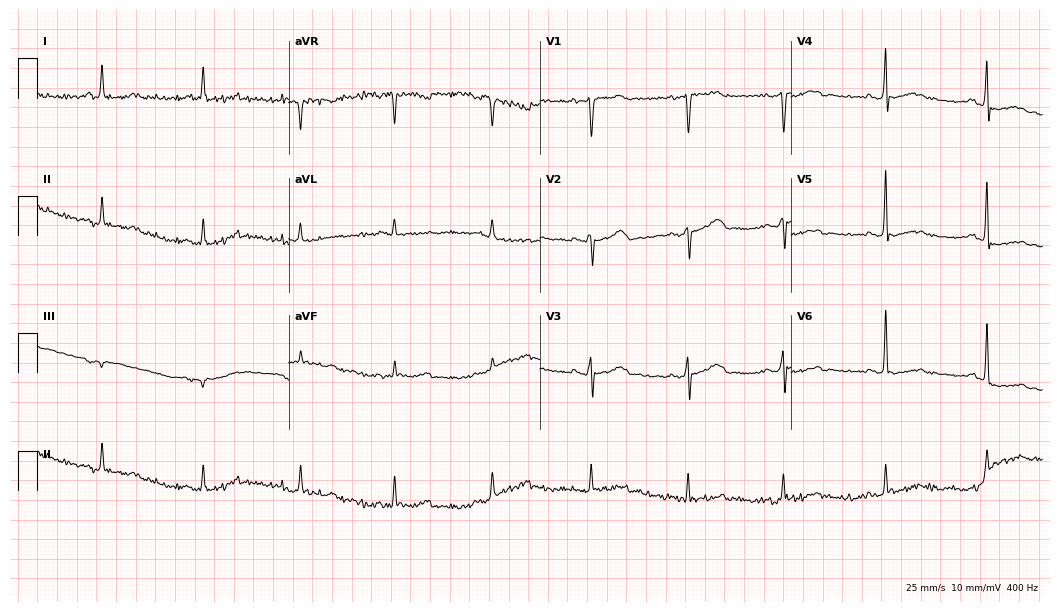
Resting 12-lead electrocardiogram (10.2-second recording at 400 Hz). Patient: a male, 70 years old. Read as a normal ECG.